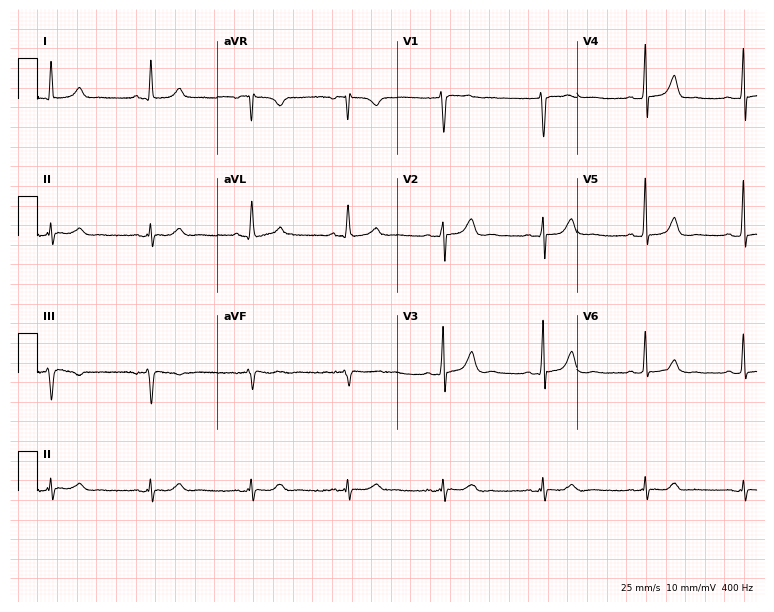
12-lead ECG (7.3-second recording at 400 Hz) from a man, 73 years old. Labelled as a normal ECG.